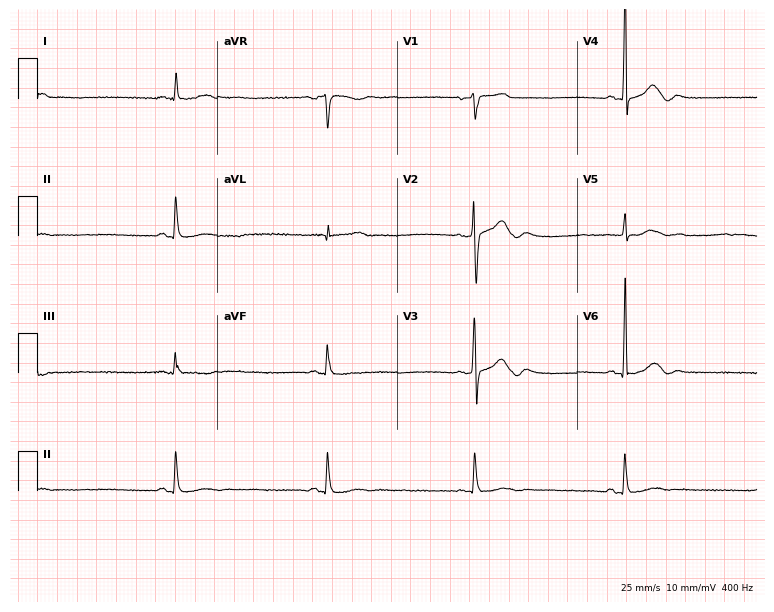
Electrocardiogram (7.3-second recording at 400 Hz), a 77-year-old female patient. Interpretation includes sinus bradycardia (a sinus rate of 50 beats per minute or less).